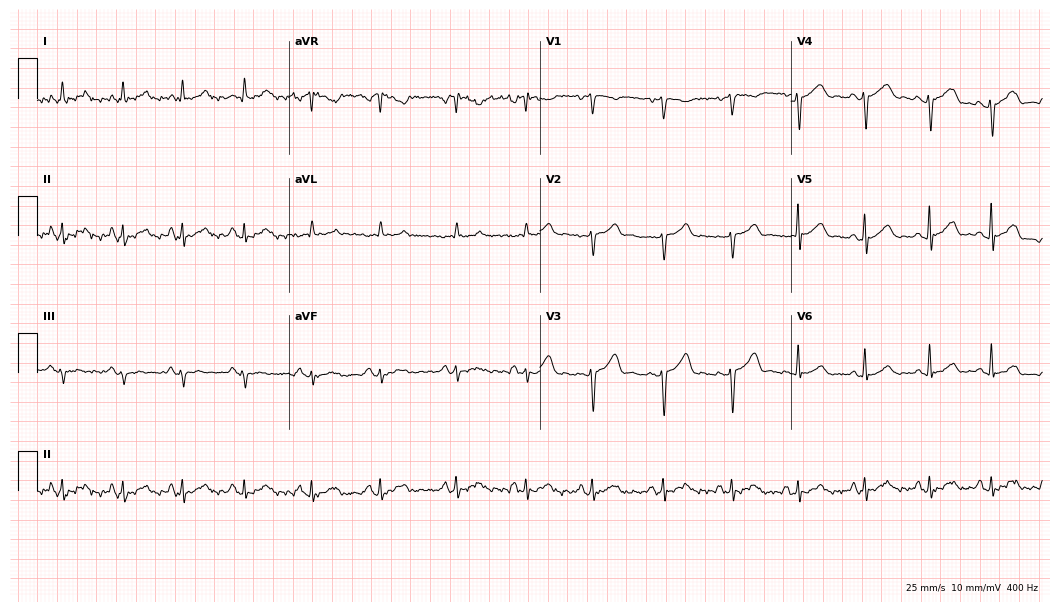
Standard 12-lead ECG recorded from a 26-year-old female patient (10.2-second recording at 400 Hz). Read as a normal ECG.